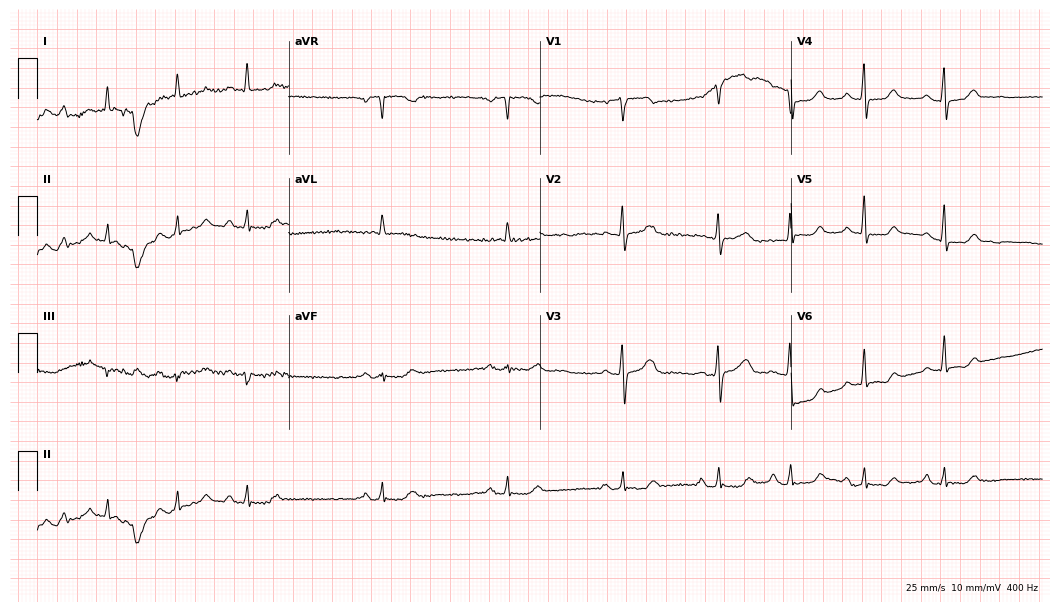
ECG — an 80-year-old female. Screened for six findings — first-degree AV block, right bundle branch block (RBBB), left bundle branch block (LBBB), sinus bradycardia, atrial fibrillation (AF), sinus tachycardia — none is recorded. Only these six findings were labelled.